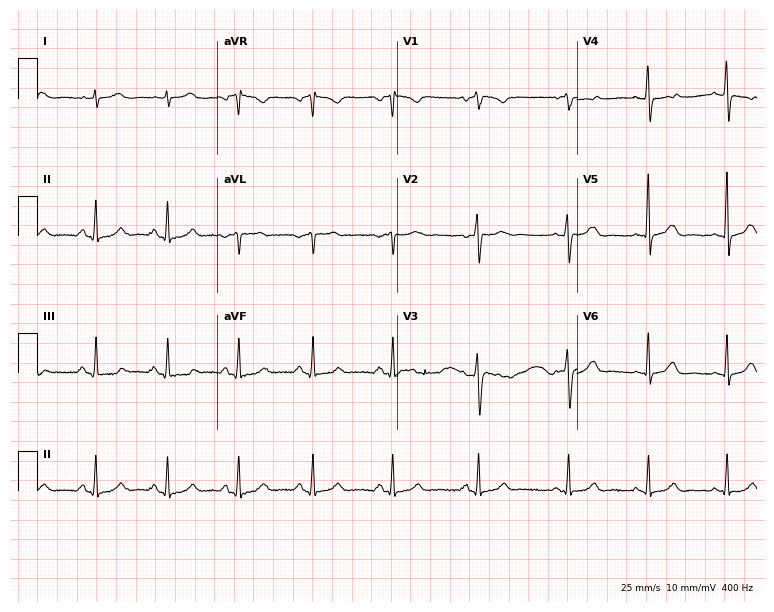
12-lead ECG from a female patient, 37 years old. Labelled as a normal ECG.